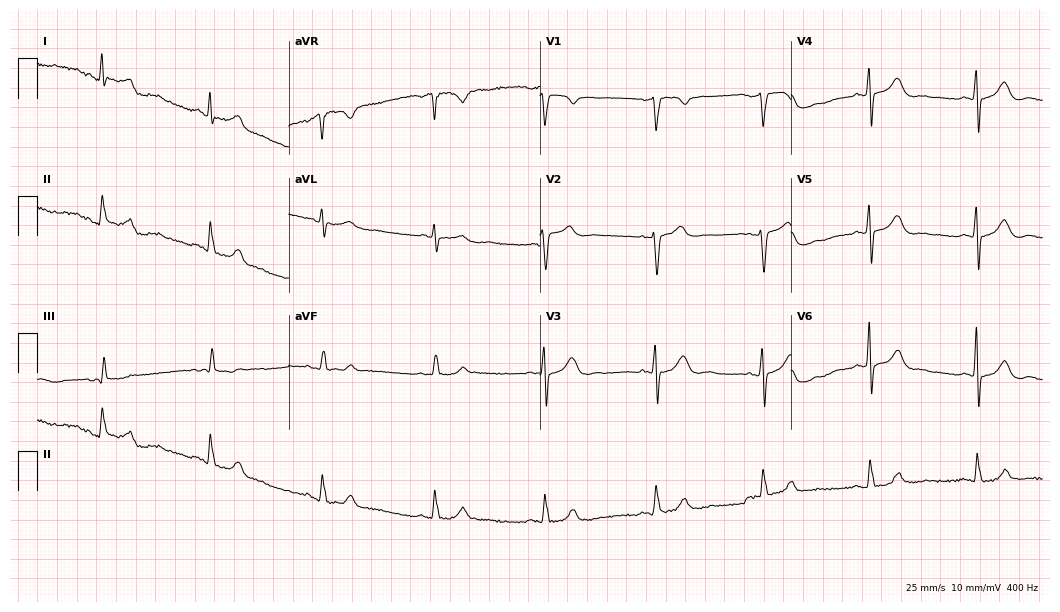
Standard 12-lead ECG recorded from a 63-year-old man (10.2-second recording at 400 Hz). Read as a normal ECG.